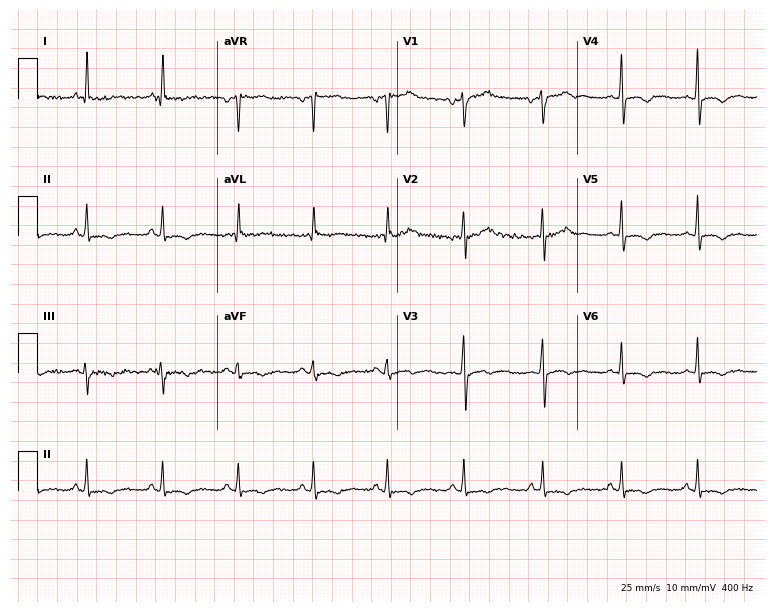
12-lead ECG from a 49-year-old male patient (7.3-second recording at 400 Hz). No first-degree AV block, right bundle branch block, left bundle branch block, sinus bradycardia, atrial fibrillation or sinus tachycardia recorded for this tracing.